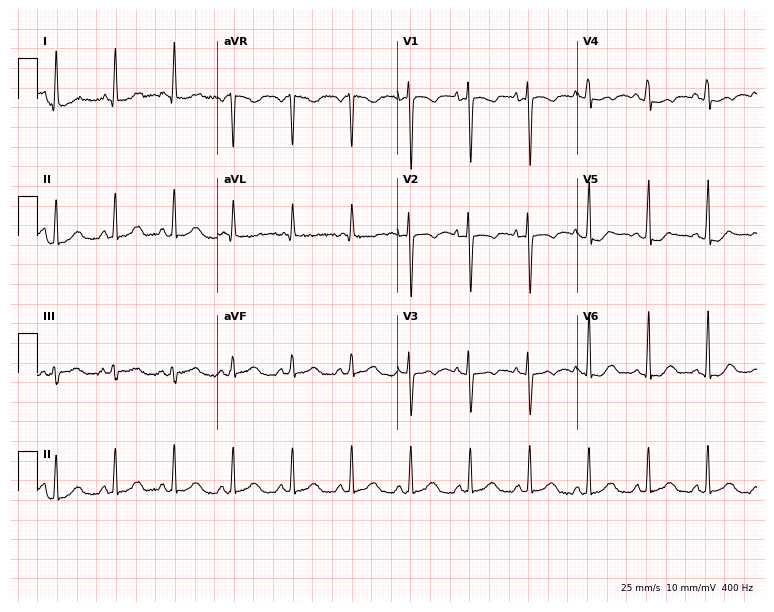
Resting 12-lead electrocardiogram (7.3-second recording at 400 Hz). Patient: a 35-year-old female. None of these six findings is recorded: first-degree AV block, right bundle branch block (RBBB), left bundle branch block (LBBB), sinus bradycardia, atrial fibrillation (AF), sinus tachycardia. Findings outside these six are not listed.